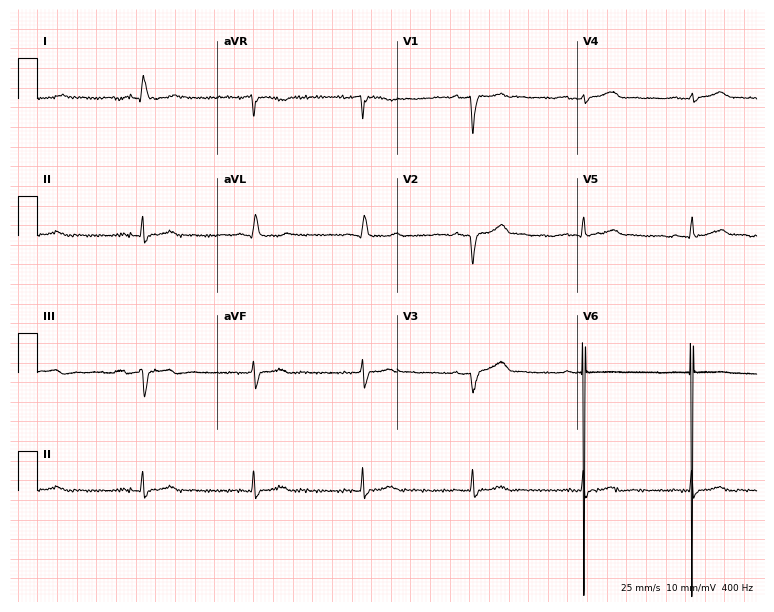
ECG (7.3-second recording at 400 Hz) — a man, 56 years old. Screened for six findings — first-degree AV block, right bundle branch block (RBBB), left bundle branch block (LBBB), sinus bradycardia, atrial fibrillation (AF), sinus tachycardia — none is recorded.